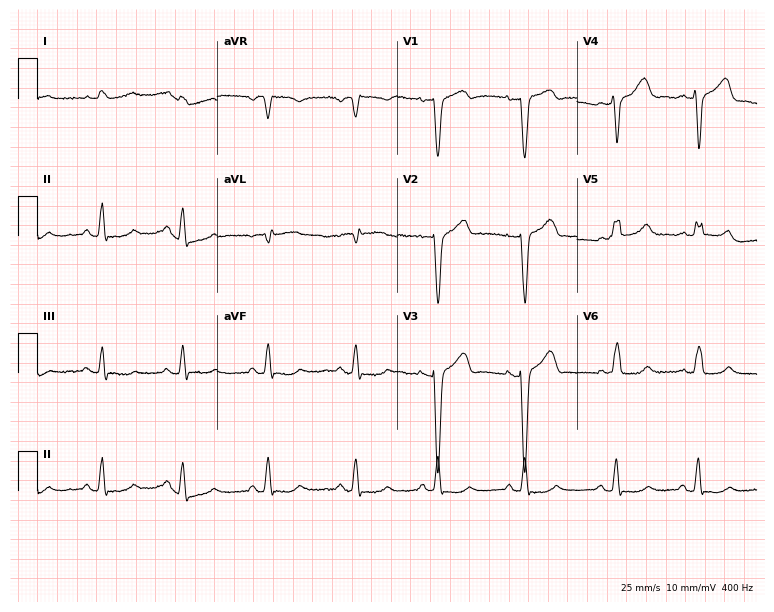
Electrocardiogram, an 83-year-old female. Of the six screened findings (first-degree AV block, right bundle branch block, left bundle branch block, sinus bradycardia, atrial fibrillation, sinus tachycardia), none is recorded. Only these six findings were labelled.